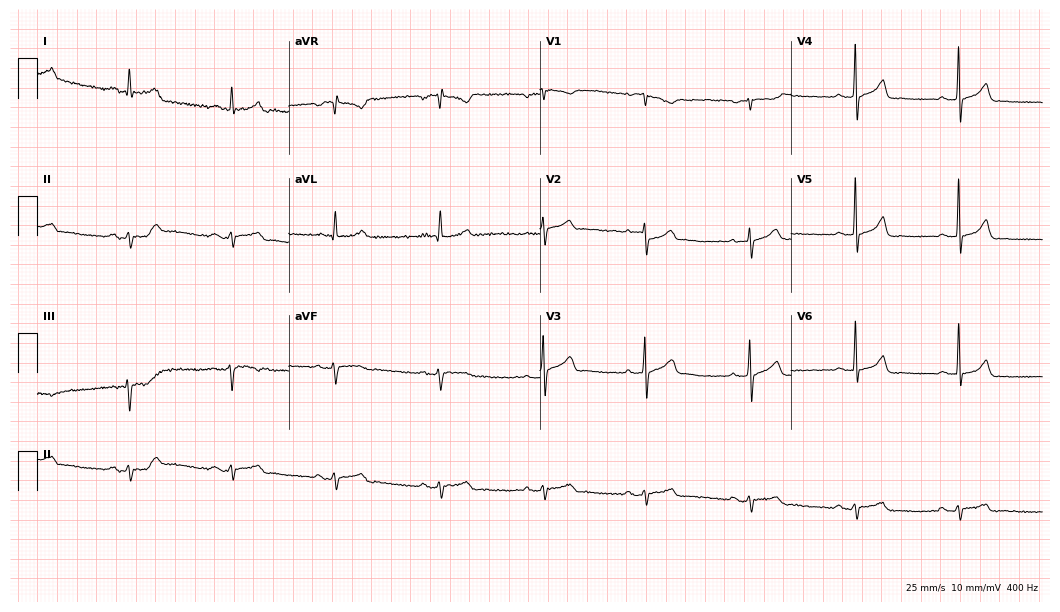
12-lead ECG from a 65-year-old male. Screened for six findings — first-degree AV block, right bundle branch block (RBBB), left bundle branch block (LBBB), sinus bradycardia, atrial fibrillation (AF), sinus tachycardia — none is recorded. Findings outside these six are not listed.